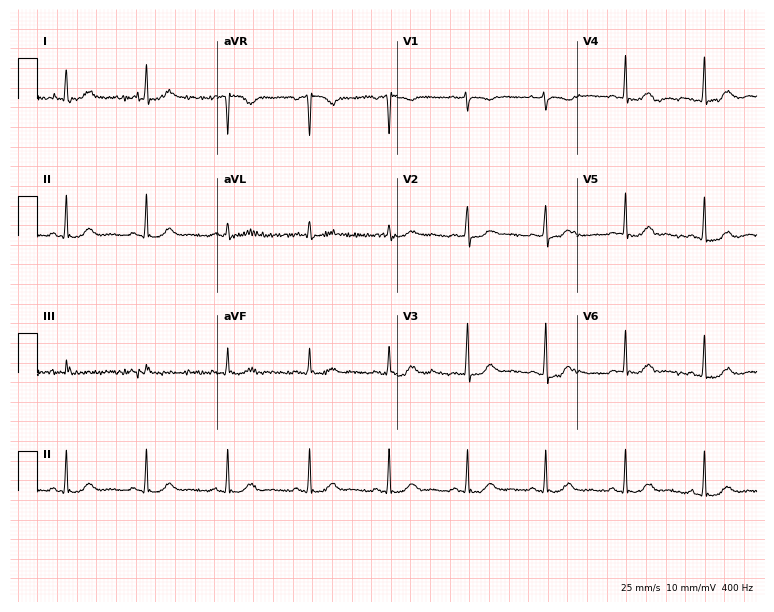
Standard 12-lead ECG recorded from a 46-year-old woman. None of these six findings is recorded: first-degree AV block, right bundle branch block, left bundle branch block, sinus bradycardia, atrial fibrillation, sinus tachycardia. Only these six findings were labelled.